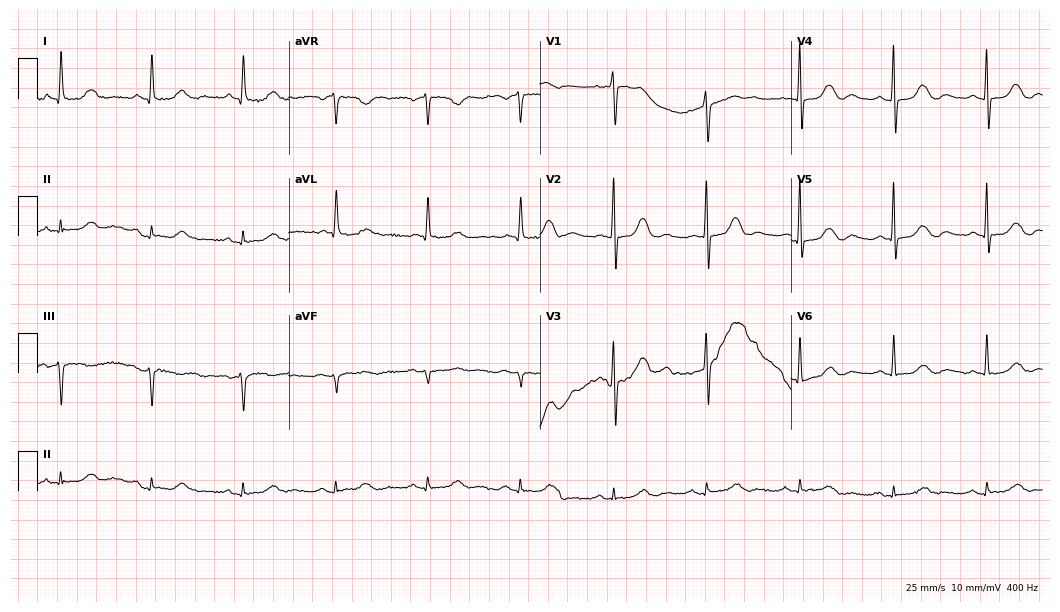
Electrocardiogram (10.2-second recording at 400 Hz), a 78-year-old woman. Overall reading on record: normal ECG.